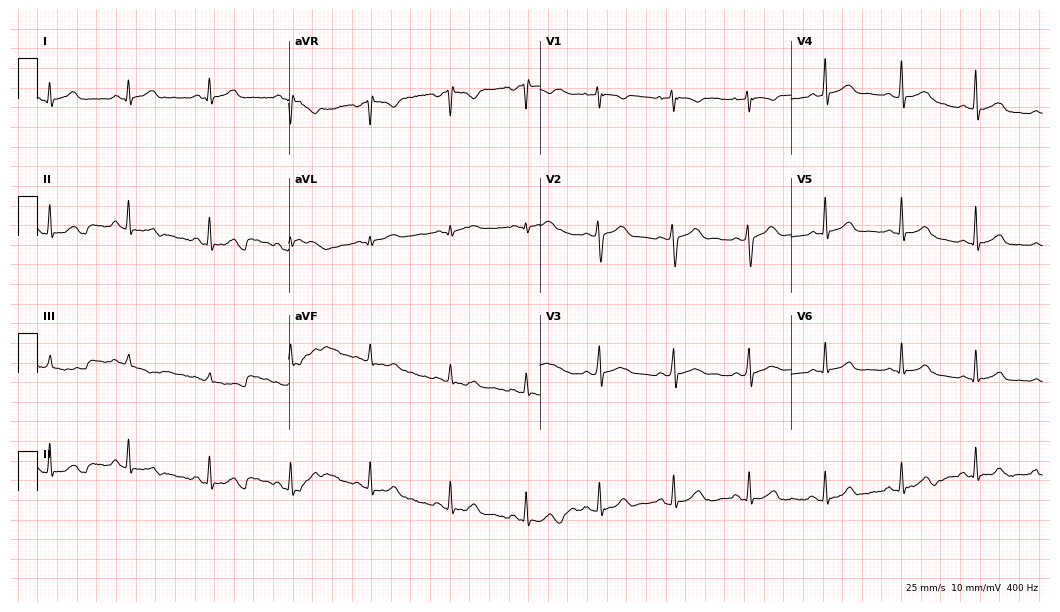
12-lead ECG from an 18-year-old female patient. Recorded interpretation: within normal limits.